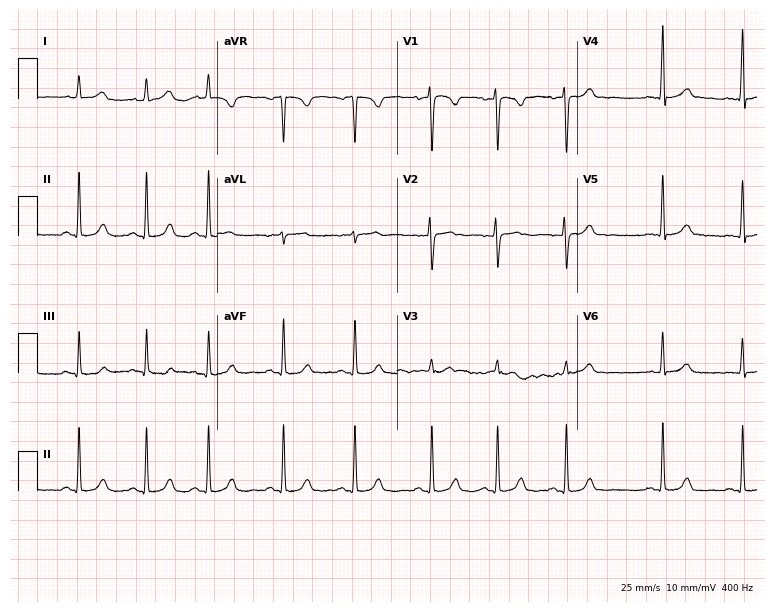
ECG (7.3-second recording at 400 Hz) — a 19-year-old female. Labelled as a normal ECG.